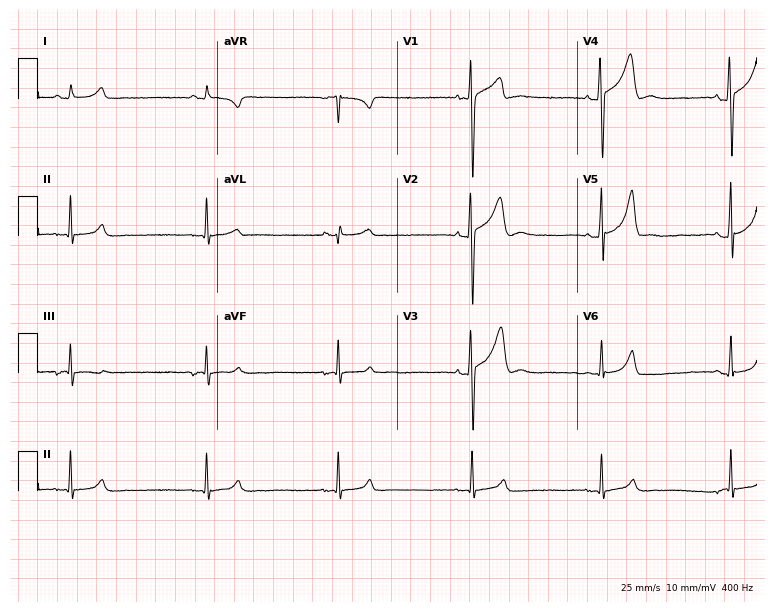
12-lead ECG from a 26-year-old male. Findings include sinus bradycardia (a sinus rate of 50 beats per minute or less).